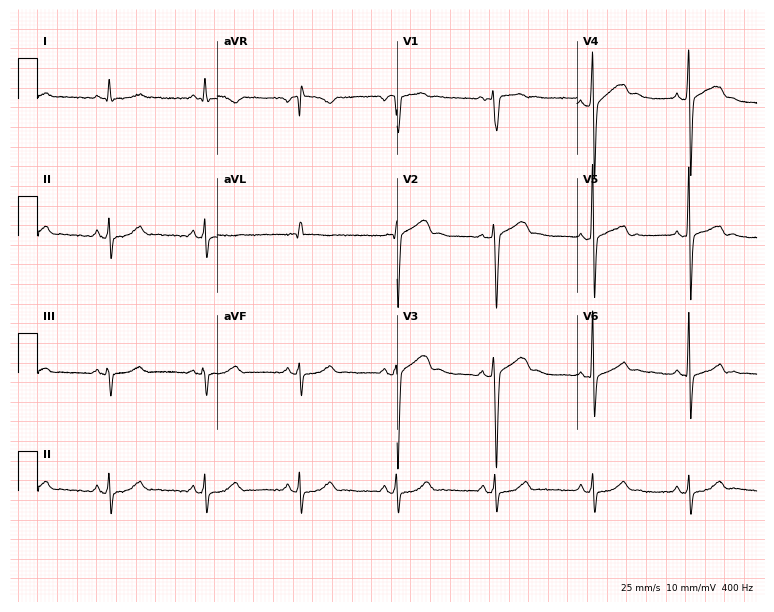
12-lead ECG from a man, 53 years old. Recorded interpretation: within normal limits.